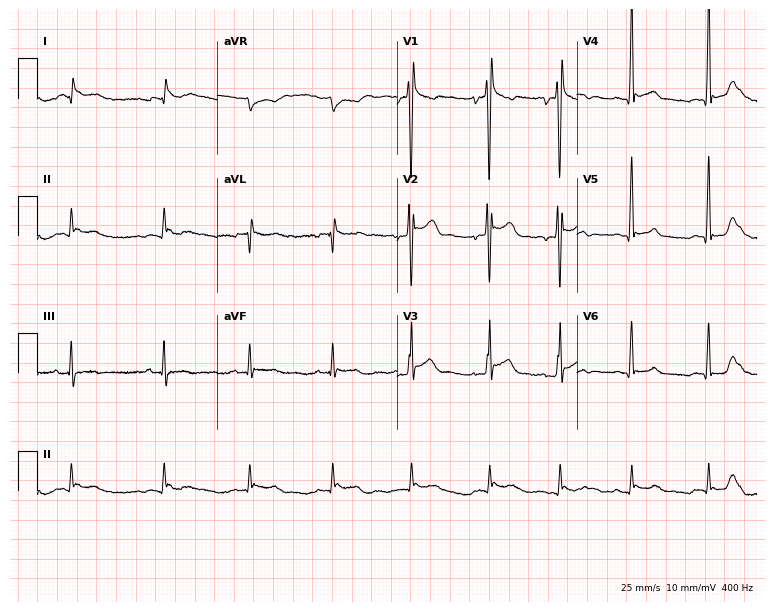
12-lead ECG from a 19-year-old man. Screened for six findings — first-degree AV block, right bundle branch block, left bundle branch block, sinus bradycardia, atrial fibrillation, sinus tachycardia — none is recorded.